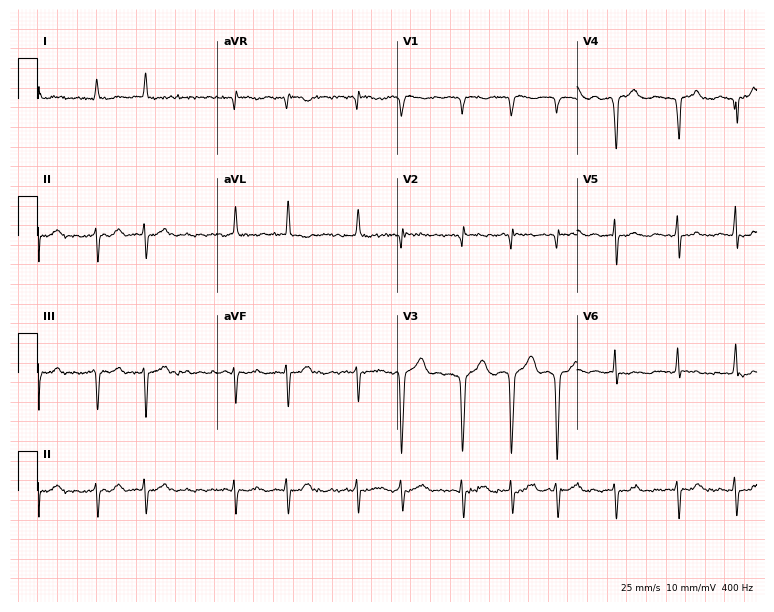
ECG (7.3-second recording at 400 Hz) — a woman, 76 years old. Screened for six findings — first-degree AV block, right bundle branch block, left bundle branch block, sinus bradycardia, atrial fibrillation, sinus tachycardia — none is recorded.